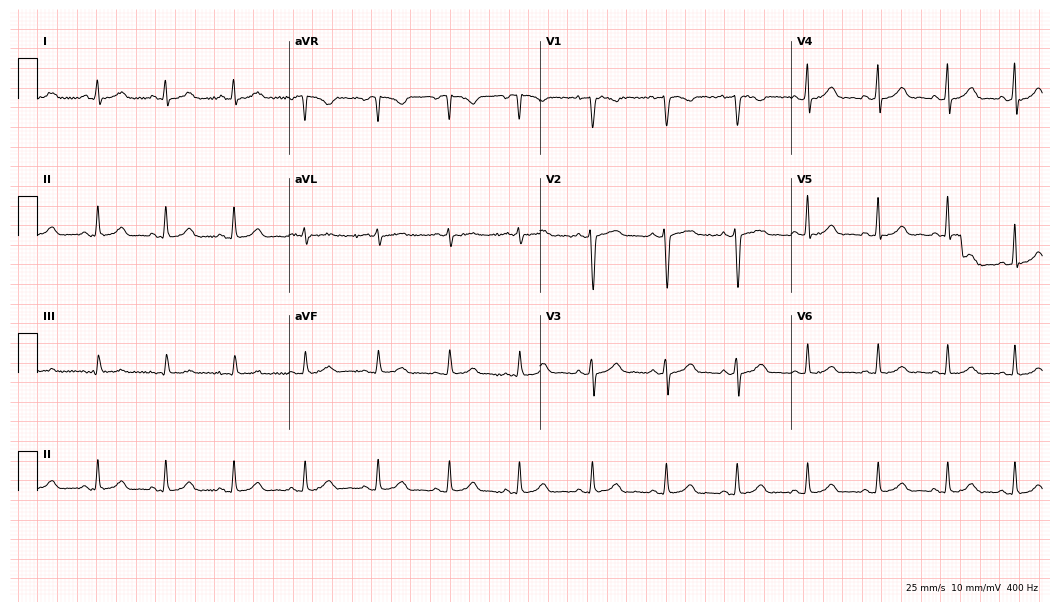
12-lead ECG from a woman, 37 years old (10.2-second recording at 400 Hz). Recorded interpretation: within normal limits.